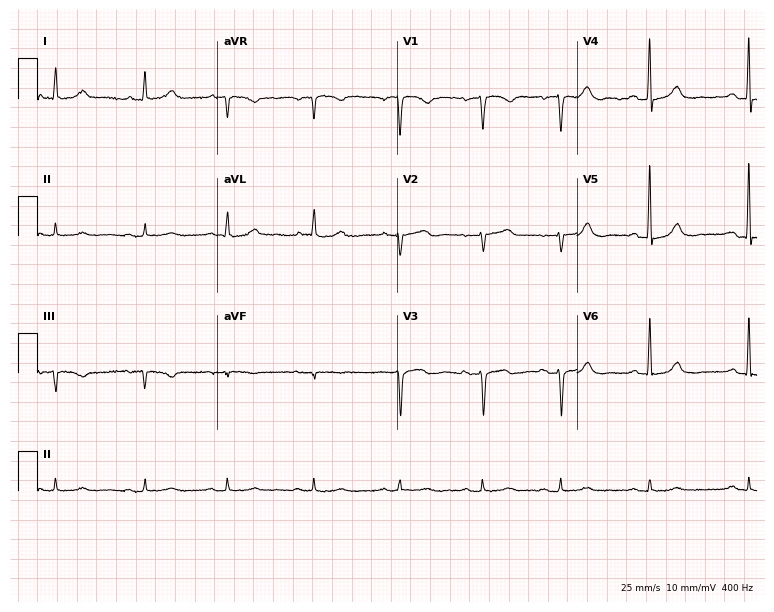
12-lead ECG (7.3-second recording at 400 Hz) from a woman, 58 years old. Screened for six findings — first-degree AV block, right bundle branch block, left bundle branch block, sinus bradycardia, atrial fibrillation, sinus tachycardia — none is recorded.